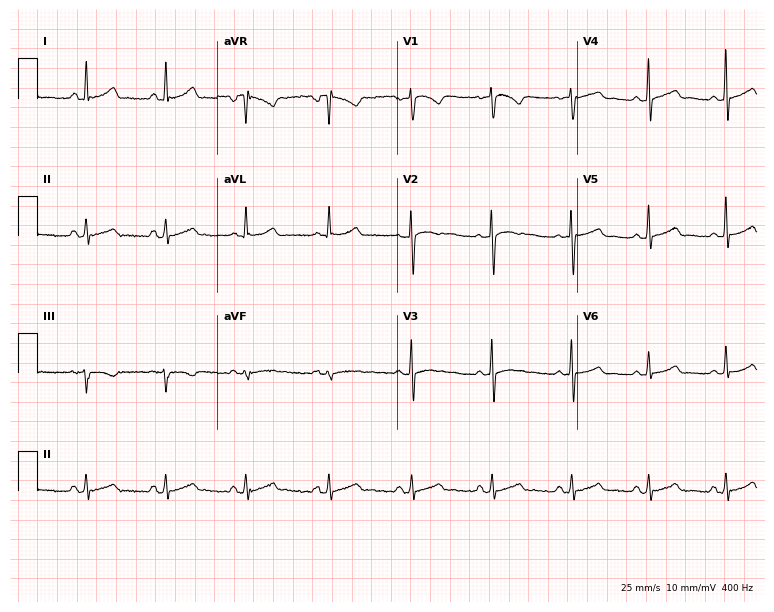
12-lead ECG (7.3-second recording at 400 Hz) from a 39-year-old woman. Labelled as a normal ECG.